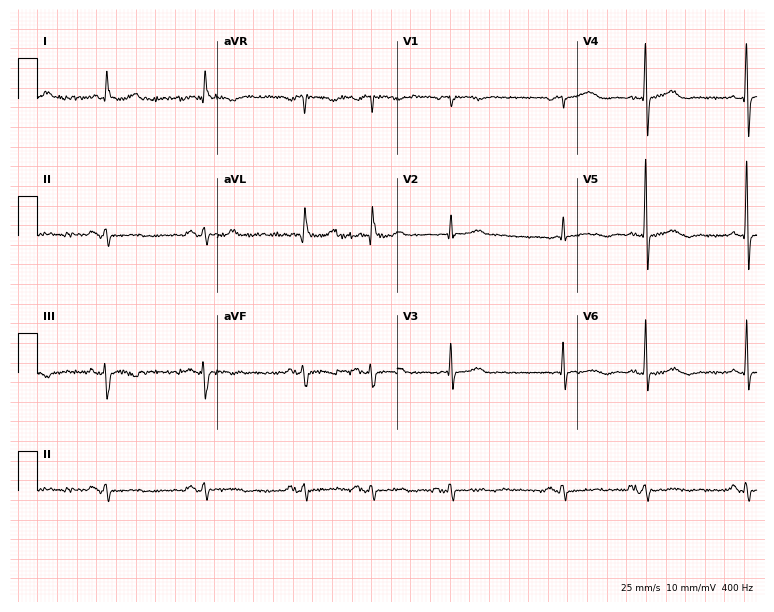
ECG — a female patient, 81 years old. Screened for six findings — first-degree AV block, right bundle branch block, left bundle branch block, sinus bradycardia, atrial fibrillation, sinus tachycardia — none is recorded. Only these six findings were labelled.